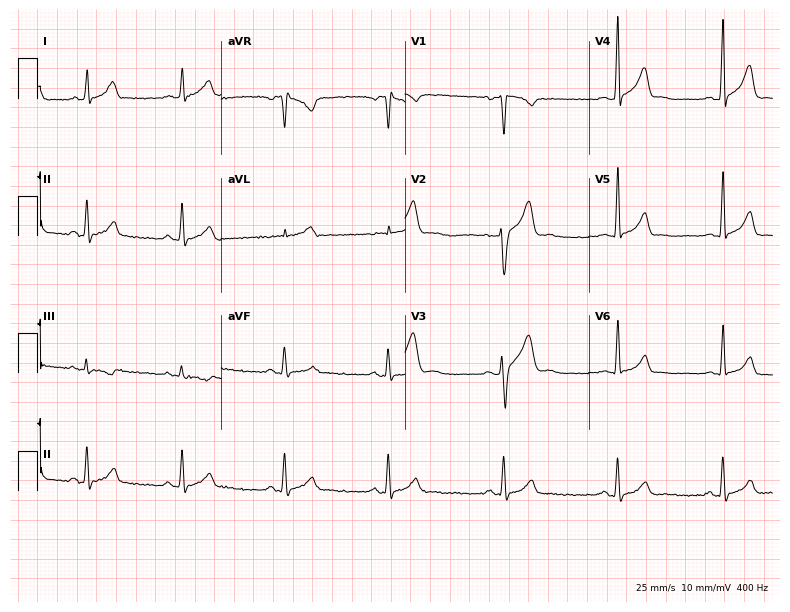
12-lead ECG (7.5-second recording at 400 Hz) from a male, 23 years old. Screened for six findings — first-degree AV block, right bundle branch block (RBBB), left bundle branch block (LBBB), sinus bradycardia, atrial fibrillation (AF), sinus tachycardia — none is recorded.